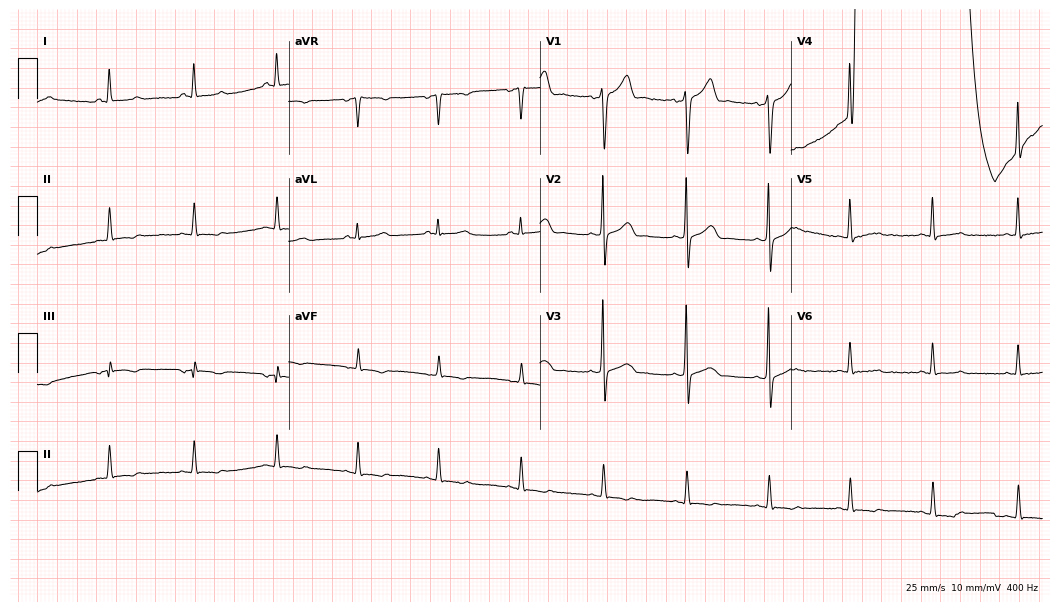
ECG — a female patient, 33 years old. Labelled as a normal ECG.